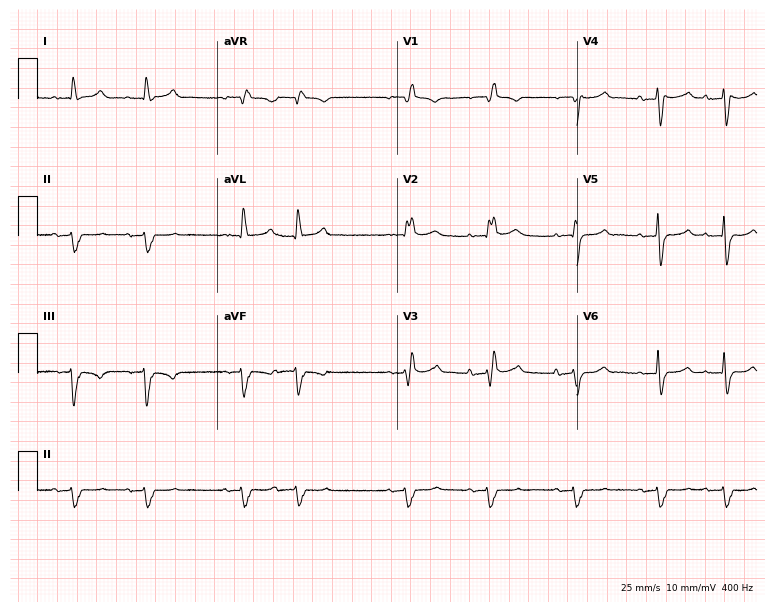
12-lead ECG from a 79-year-old male patient (7.3-second recording at 400 Hz). Shows right bundle branch block, atrial fibrillation.